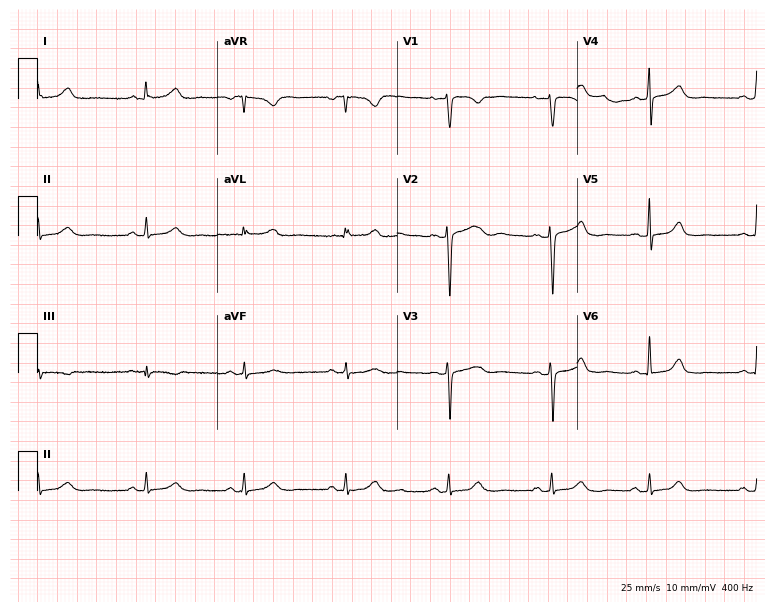
Resting 12-lead electrocardiogram. Patient: a female, 43 years old. None of these six findings is recorded: first-degree AV block, right bundle branch block, left bundle branch block, sinus bradycardia, atrial fibrillation, sinus tachycardia.